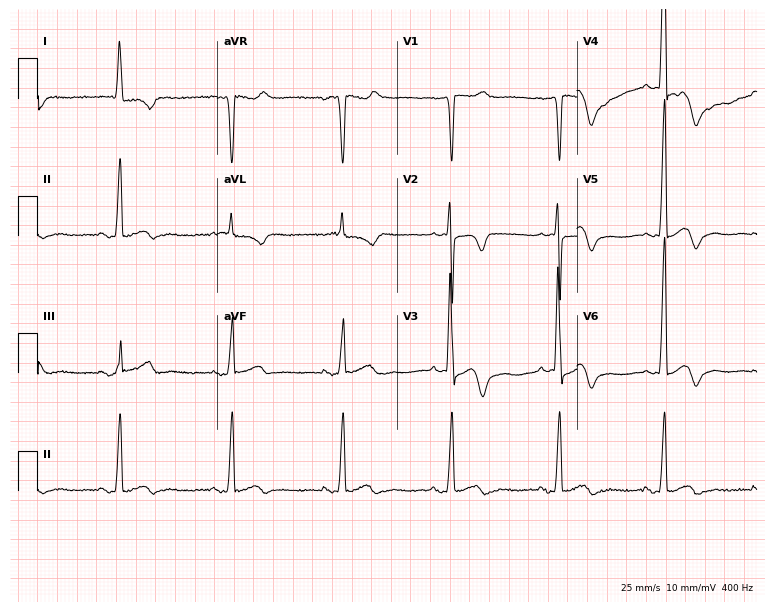
Standard 12-lead ECG recorded from a female patient, 81 years old (7.3-second recording at 400 Hz). None of these six findings is recorded: first-degree AV block, right bundle branch block, left bundle branch block, sinus bradycardia, atrial fibrillation, sinus tachycardia.